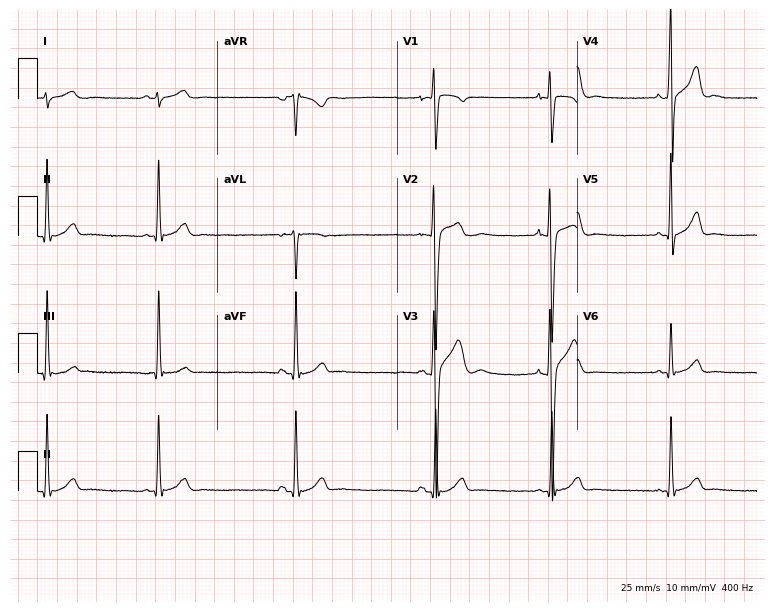
12-lead ECG from a 21-year-old male patient. Shows sinus bradycardia (a sinus rate of 50 beats per minute or less).